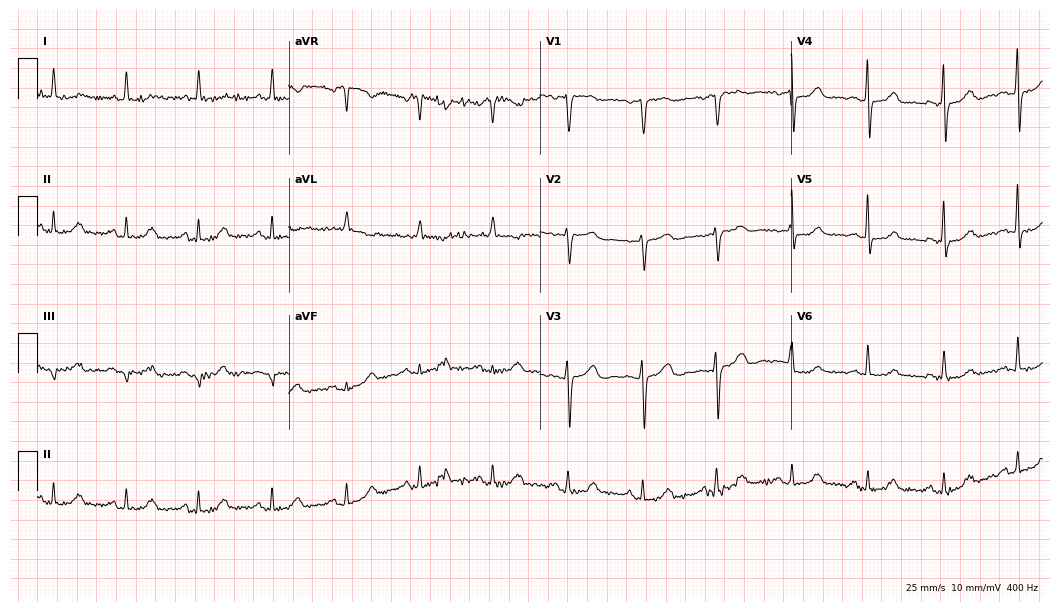
ECG (10.2-second recording at 400 Hz) — a 70-year-old female. Labelled as a normal ECG.